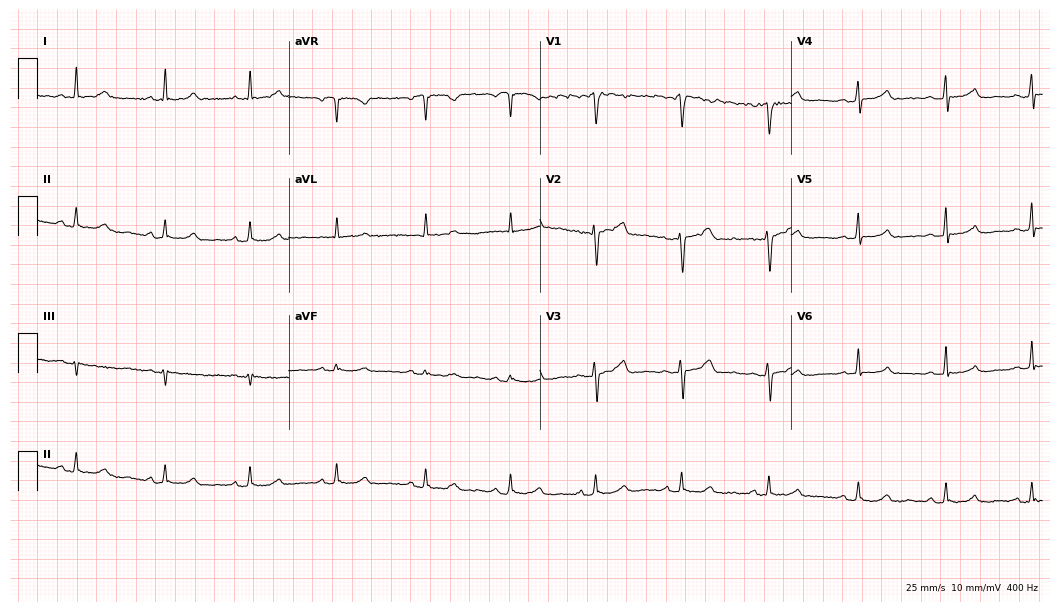
Standard 12-lead ECG recorded from a 58-year-old female. Read as a normal ECG.